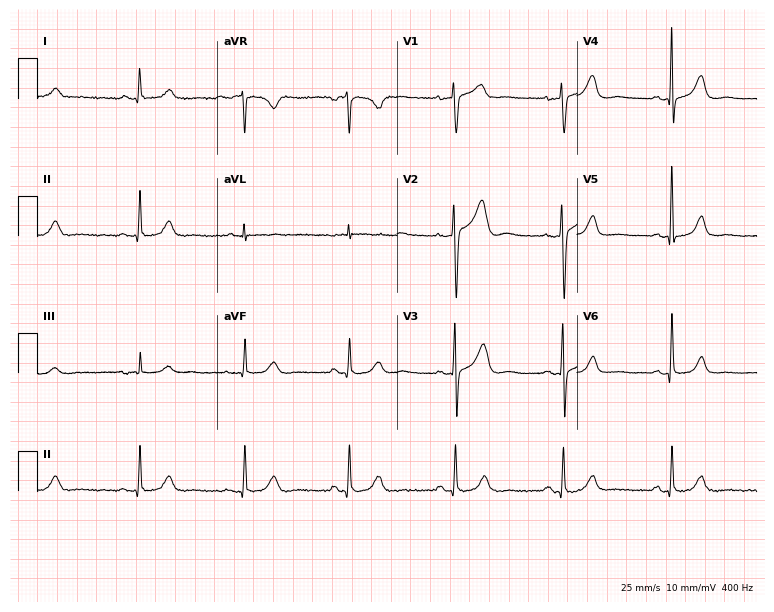
Standard 12-lead ECG recorded from a 65-year-old female (7.3-second recording at 400 Hz). None of these six findings is recorded: first-degree AV block, right bundle branch block (RBBB), left bundle branch block (LBBB), sinus bradycardia, atrial fibrillation (AF), sinus tachycardia. Other findings, if any, are not listed.